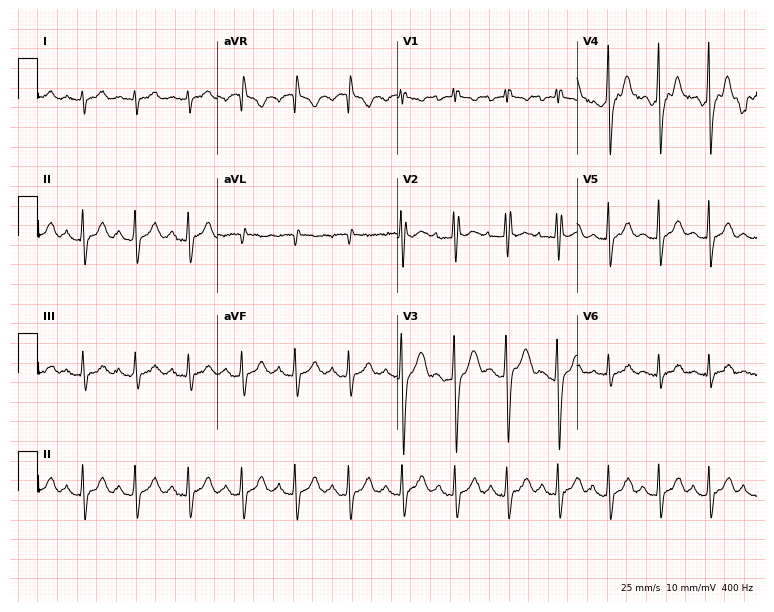
12-lead ECG from a 25-year-old male patient. No first-degree AV block, right bundle branch block (RBBB), left bundle branch block (LBBB), sinus bradycardia, atrial fibrillation (AF) or sinus tachycardia recorded for this tracing. Findings outside these six are not listed.